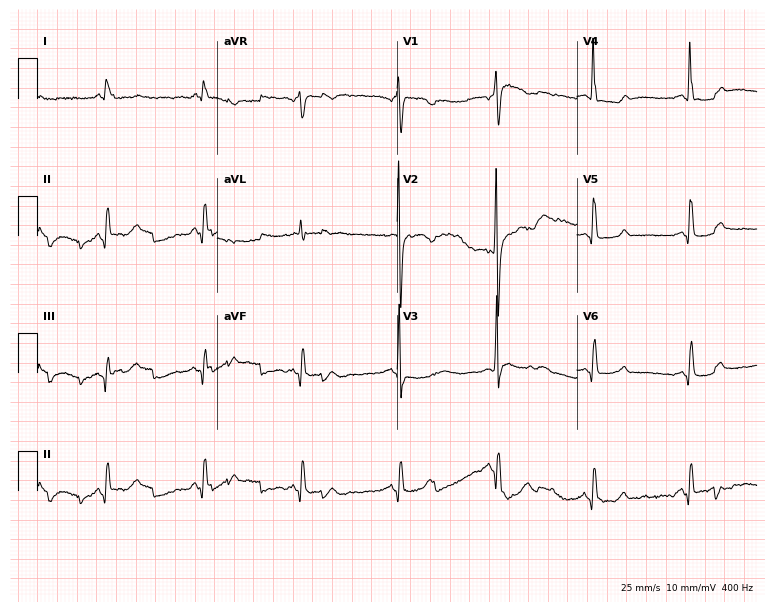
Electrocardiogram (7.3-second recording at 400 Hz), a female patient, 73 years old. Of the six screened findings (first-degree AV block, right bundle branch block, left bundle branch block, sinus bradycardia, atrial fibrillation, sinus tachycardia), none is recorded. Only these six findings were labelled.